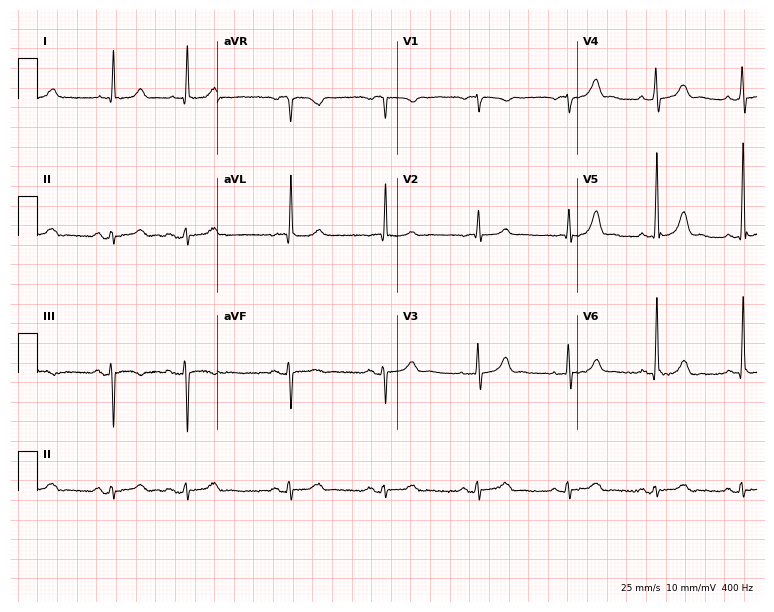
ECG (7.3-second recording at 400 Hz) — a man, 76 years old. Screened for six findings — first-degree AV block, right bundle branch block (RBBB), left bundle branch block (LBBB), sinus bradycardia, atrial fibrillation (AF), sinus tachycardia — none is recorded.